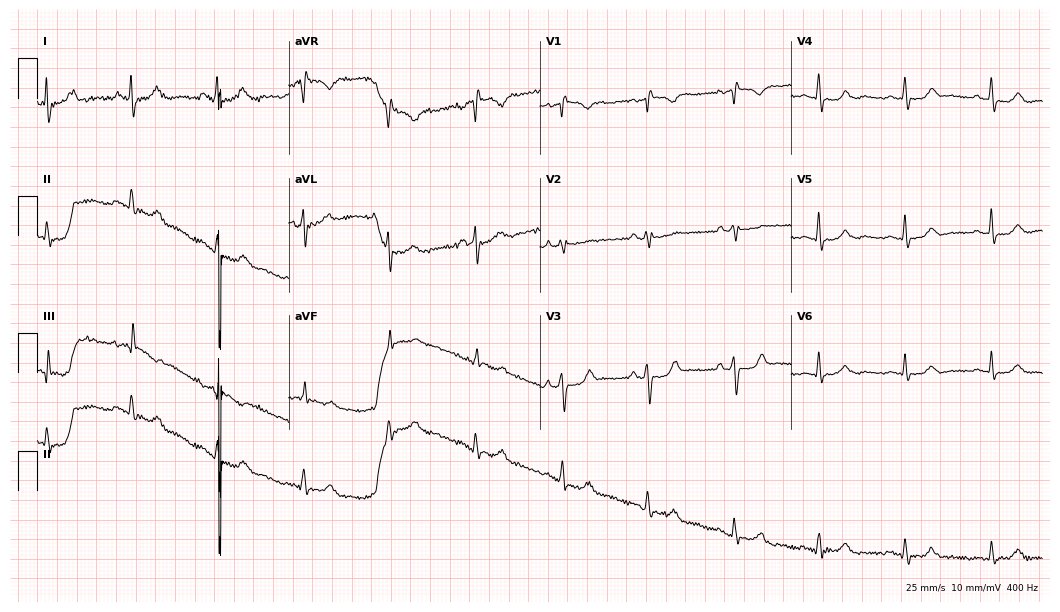
Electrocardiogram, a female, 56 years old. Of the six screened findings (first-degree AV block, right bundle branch block (RBBB), left bundle branch block (LBBB), sinus bradycardia, atrial fibrillation (AF), sinus tachycardia), none is recorded.